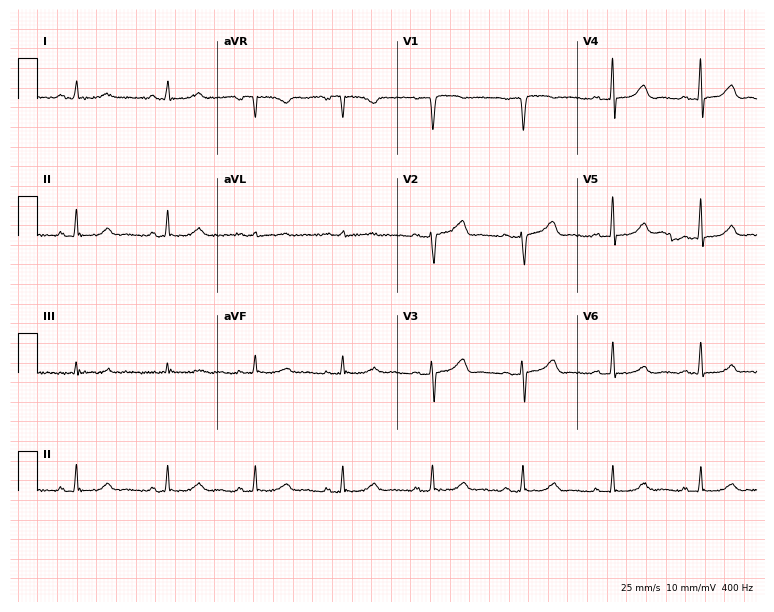
Electrocardiogram (7.3-second recording at 400 Hz), a female, 52 years old. Overall reading on record: normal ECG.